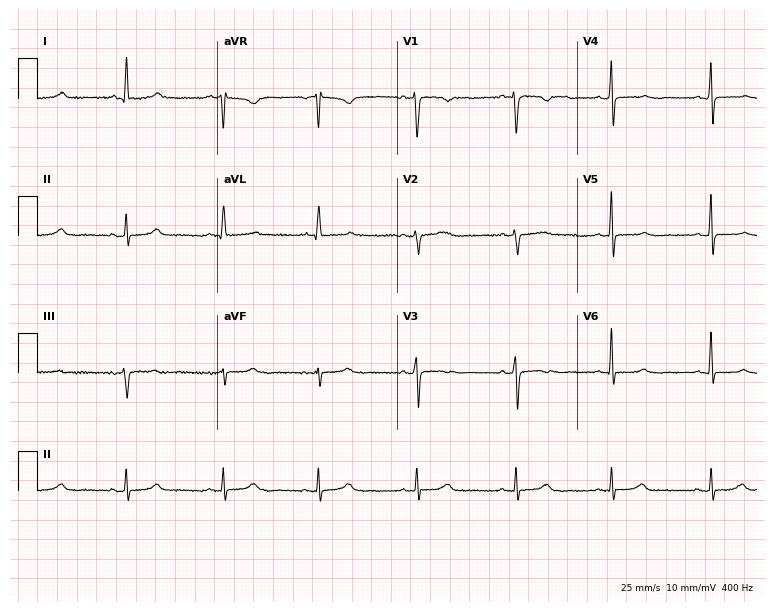
Resting 12-lead electrocardiogram. Patient: a female, 60 years old. None of these six findings is recorded: first-degree AV block, right bundle branch block (RBBB), left bundle branch block (LBBB), sinus bradycardia, atrial fibrillation (AF), sinus tachycardia.